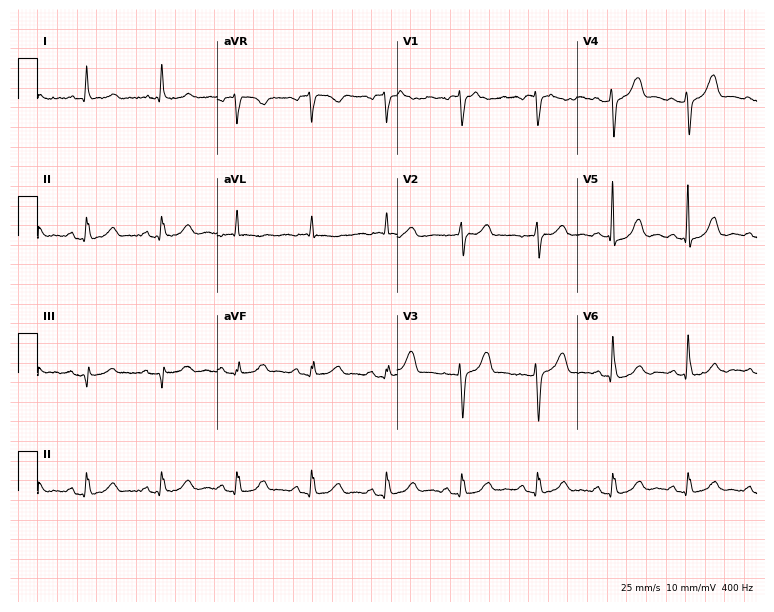
ECG — a female patient, 68 years old. Labelled as a normal ECG.